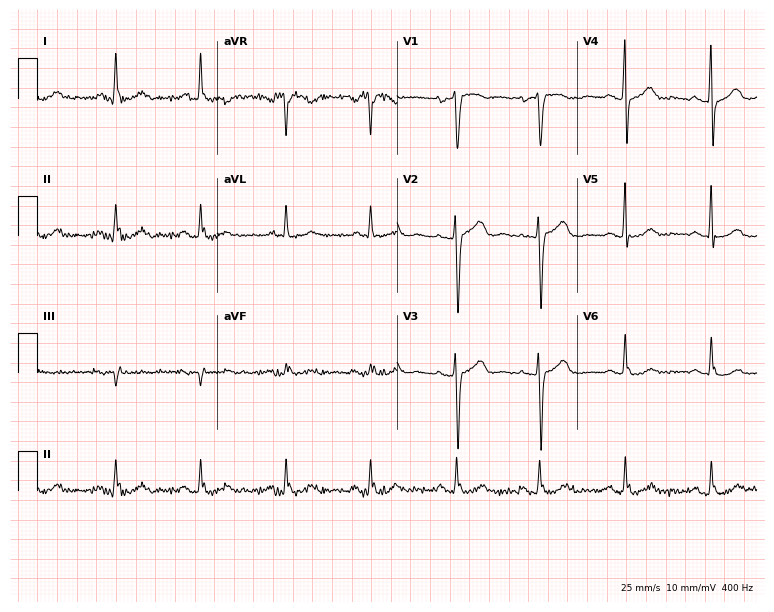
Electrocardiogram (7.3-second recording at 400 Hz), a 58-year-old male. Of the six screened findings (first-degree AV block, right bundle branch block (RBBB), left bundle branch block (LBBB), sinus bradycardia, atrial fibrillation (AF), sinus tachycardia), none is recorded.